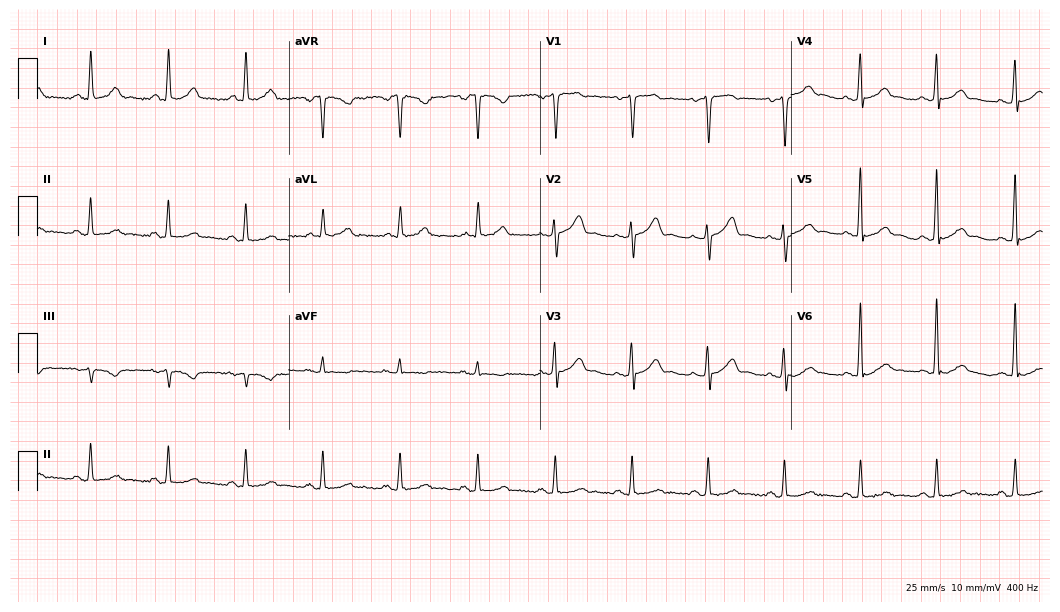
12-lead ECG from a male, 51 years old. Labelled as a normal ECG.